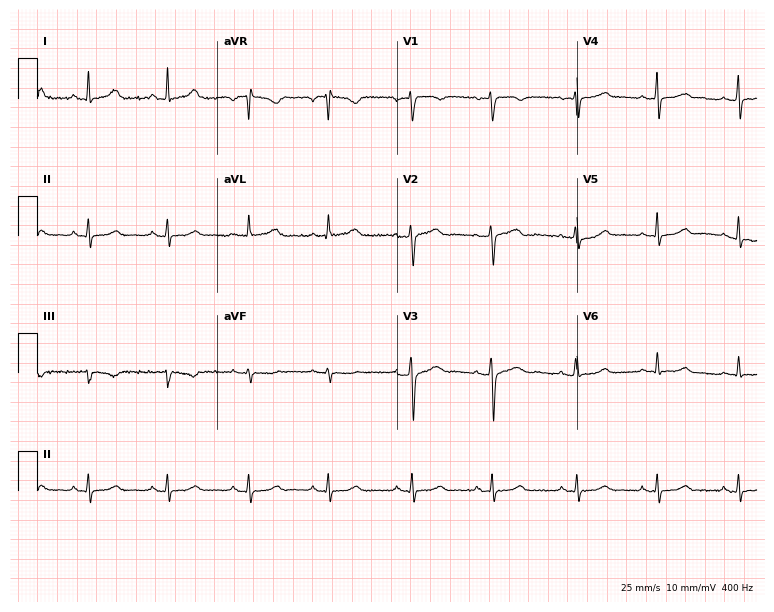
12-lead ECG (7.3-second recording at 400 Hz) from a female patient, 41 years old. Screened for six findings — first-degree AV block, right bundle branch block, left bundle branch block, sinus bradycardia, atrial fibrillation, sinus tachycardia — none is recorded.